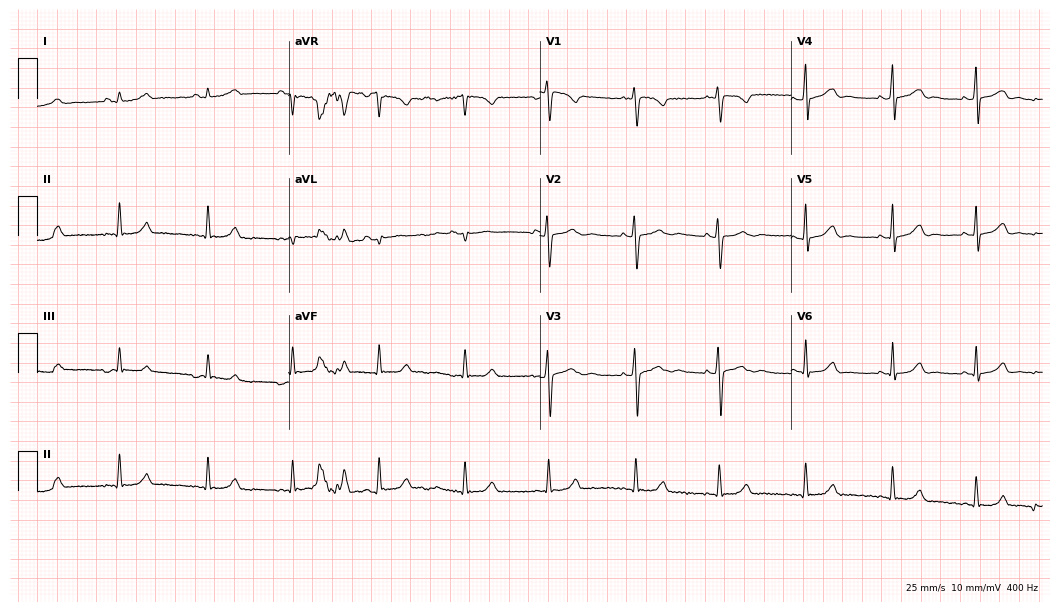
Resting 12-lead electrocardiogram. Patient: a 20-year-old woman. None of these six findings is recorded: first-degree AV block, right bundle branch block (RBBB), left bundle branch block (LBBB), sinus bradycardia, atrial fibrillation (AF), sinus tachycardia.